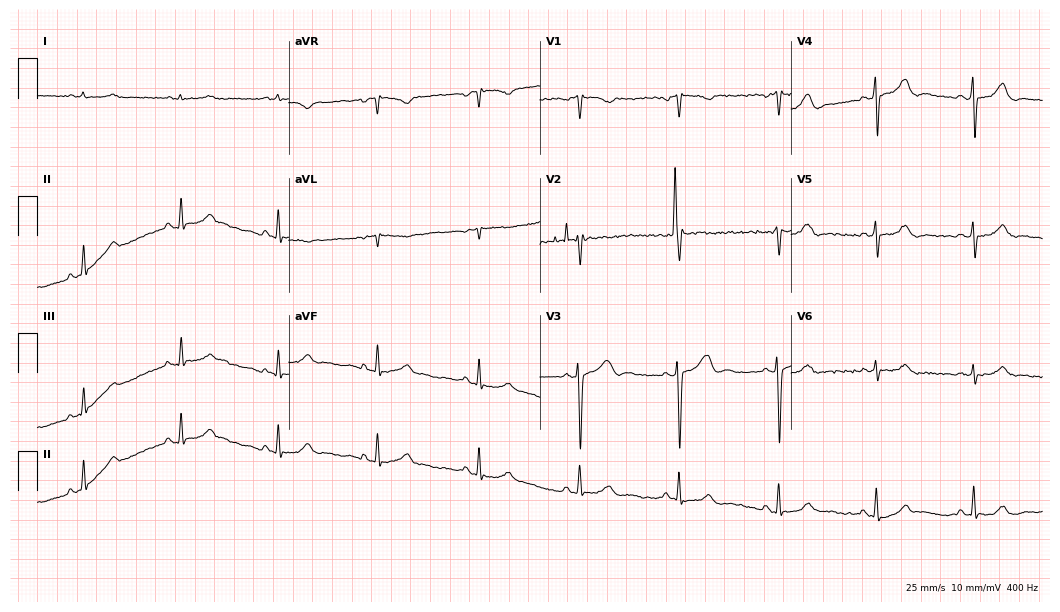
12-lead ECG from a female patient, 45 years old. No first-degree AV block, right bundle branch block (RBBB), left bundle branch block (LBBB), sinus bradycardia, atrial fibrillation (AF) or sinus tachycardia recorded for this tracing. Findings outside these six are not listed.